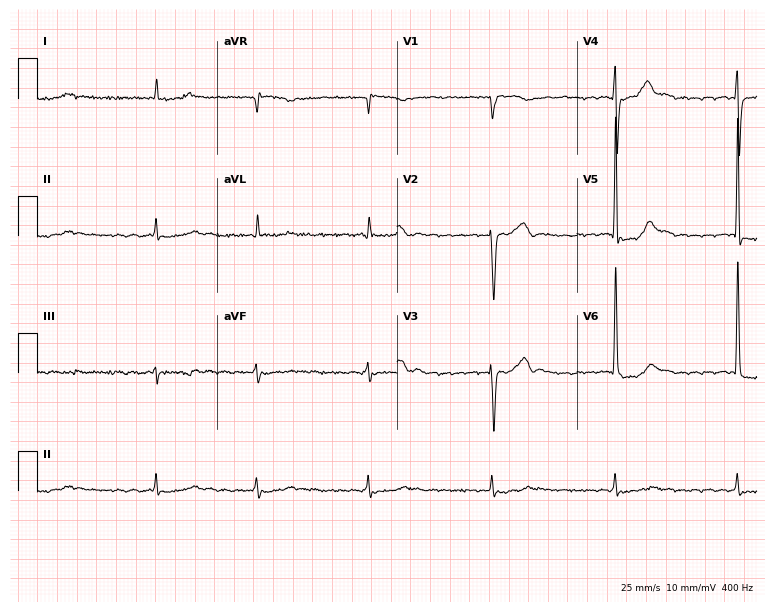
ECG (7.3-second recording at 400 Hz) — a male patient, 85 years old. Findings include atrial fibrillation.